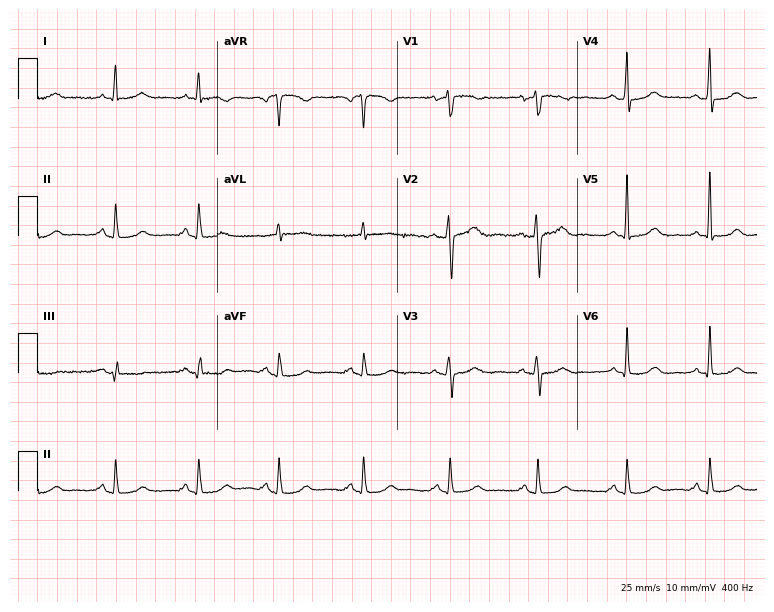
12-lead ECG from a 60-year-old female patient. Labelled as a normal ECG.